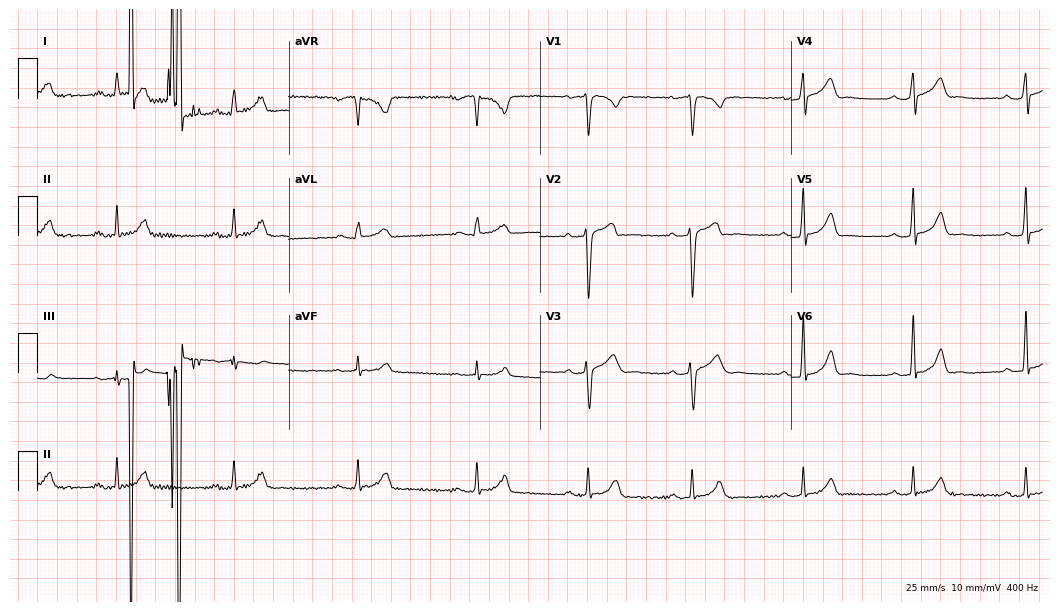
12-lead ECG from a 26-year-old male (10.2-second recording at 400 Hz). No first-degree AV block, right bundle branch block, left bundle branch block, sinus bradycardia, atrial fibrillation or sinus tachycardia recorded for this tracing. Other findings, if any, are not listed.